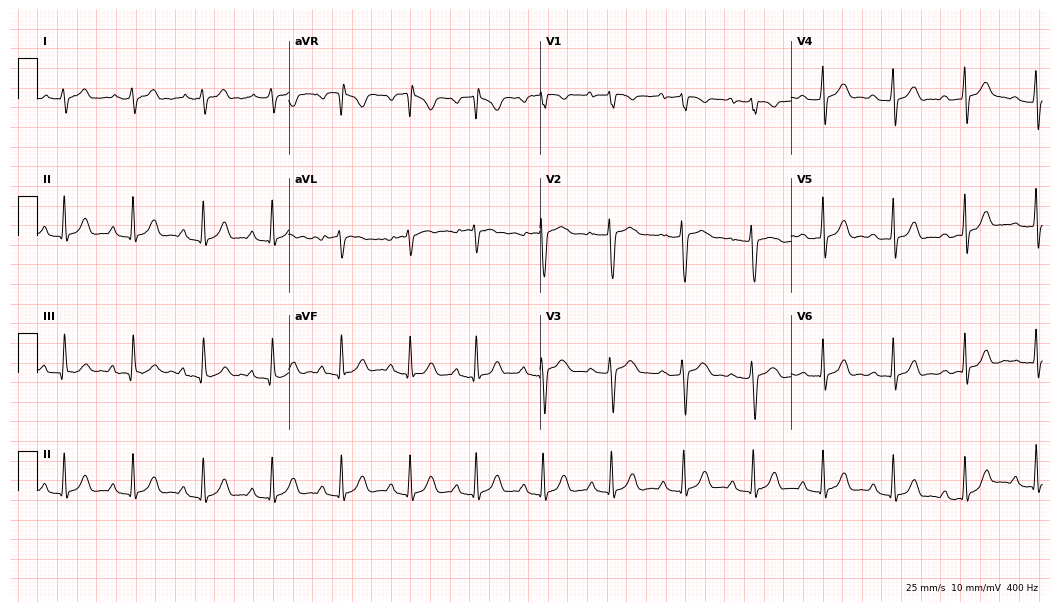
12-lead ECG from a 22-year-old female (10.2-second recording at 400 Hz). Shows first-degree AV block.